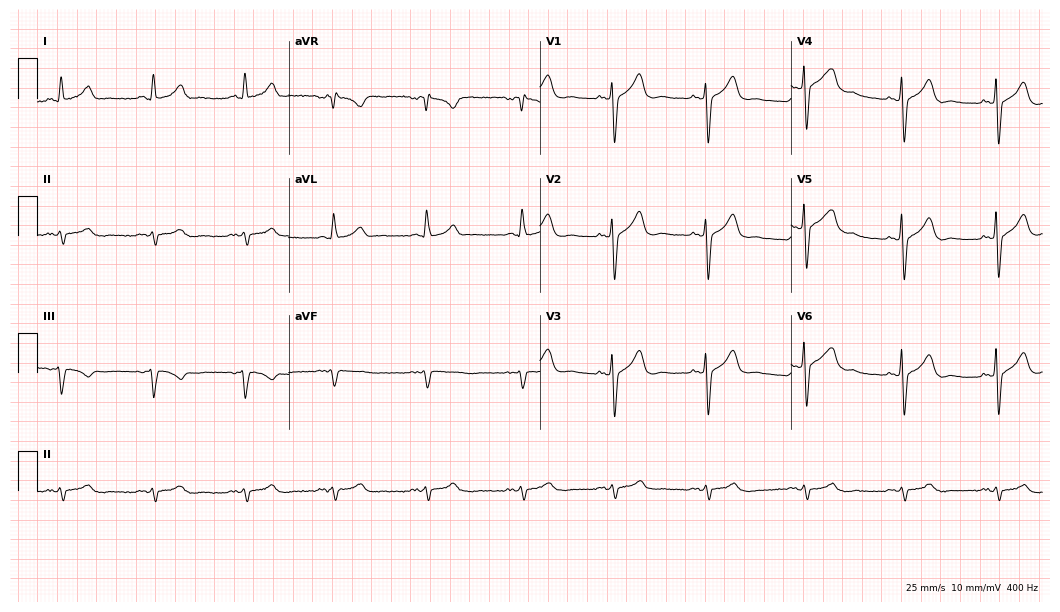
12-lead ECG from a man, 59 years old (10.2-second recording at 400 Hz). No first-degree AV block, right bundle branch block, left bundle branch block, sinus bradycardia, atrial fibrillation or sinus tachycardia recorded for this tracing.